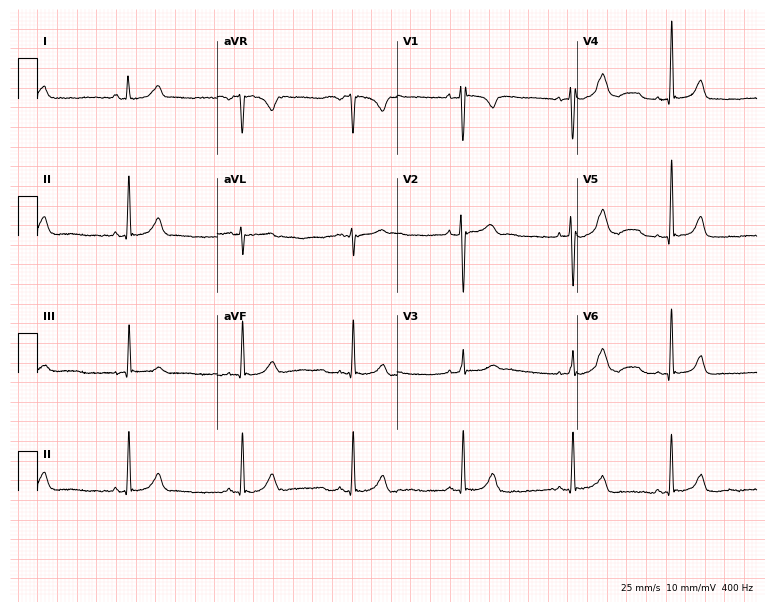
12-lead ECG (7.3-second recording at 400 Hz) from a 23-year-old female. Labelled as a normal ECG.